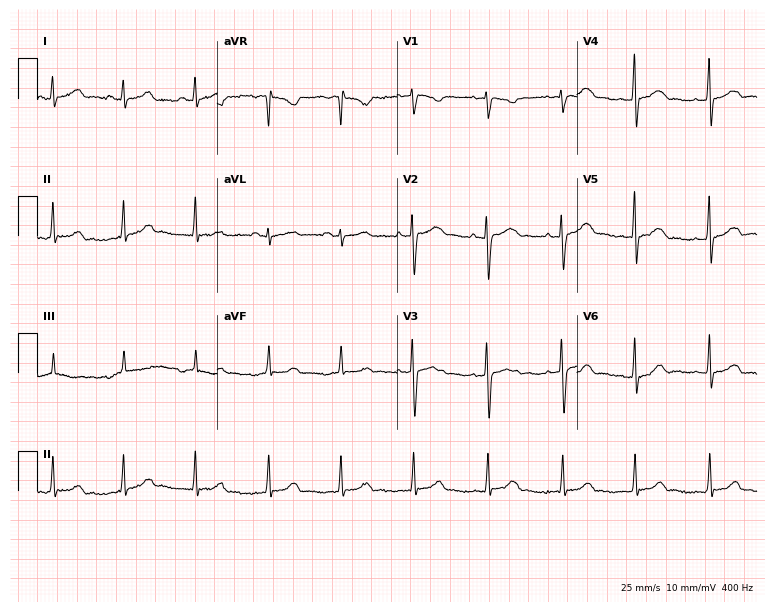
Standard 12-lead ECG recorded from a female, 19 years old. None of these six findings is recorded: first-degree AV block, right bundle branch block (RBBB), left bundle branch block (LBBB), sinus bradycardia, atrial fibrillation (AF), sinus tachycardia.